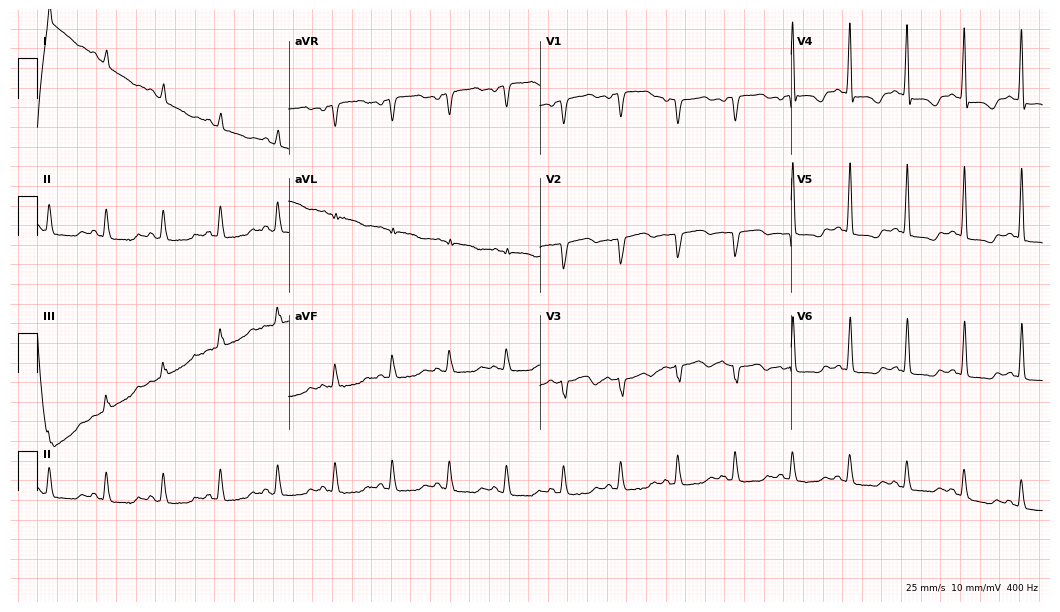
Standard 12-lead ECG recorded from a female, 74 years old (10.2-second recording at 400 Hz). None of these six findings is recorded: first-degree AV block, right bundle branch block (RBBB), left bundle branch block (LBBB), sinus bradycardia, atrial fibrillation (AF), sinus tachycardia.